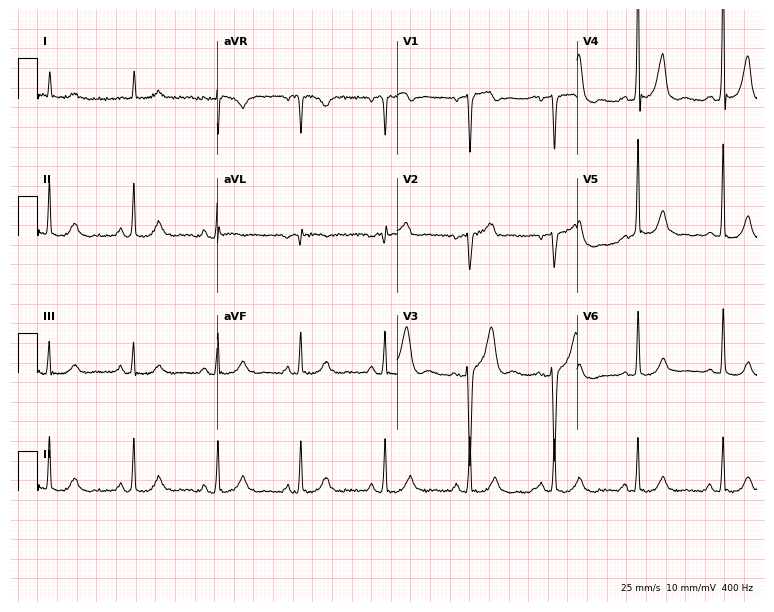
Standard 12-lead ECG recorded from a 78-year-old man. Read as a normal ECG.